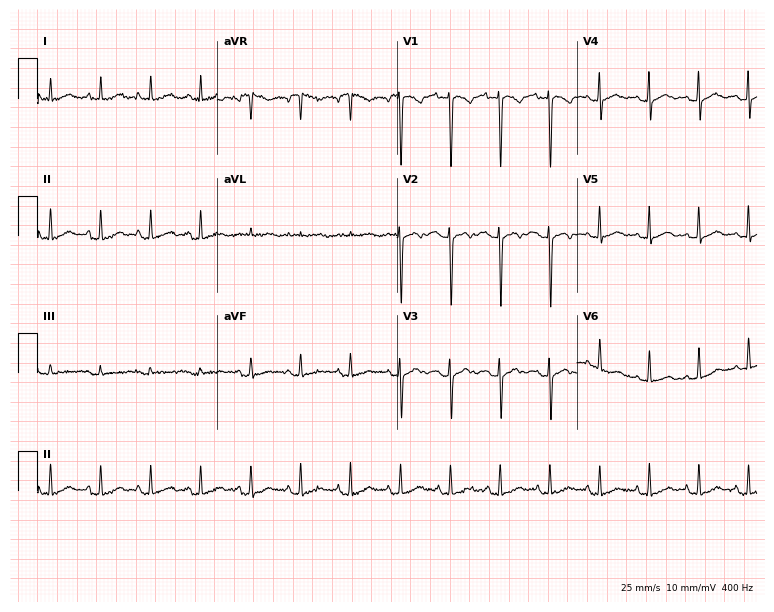
ECG — a 26-year-old female patient. Screened for six findings — first-degree AV block, right bundle branch block (RBBB), left bundle branch block (LBBB), sinus bradycardia, atrial fibrillation (AF), sinus tachycardia — none is recorded.